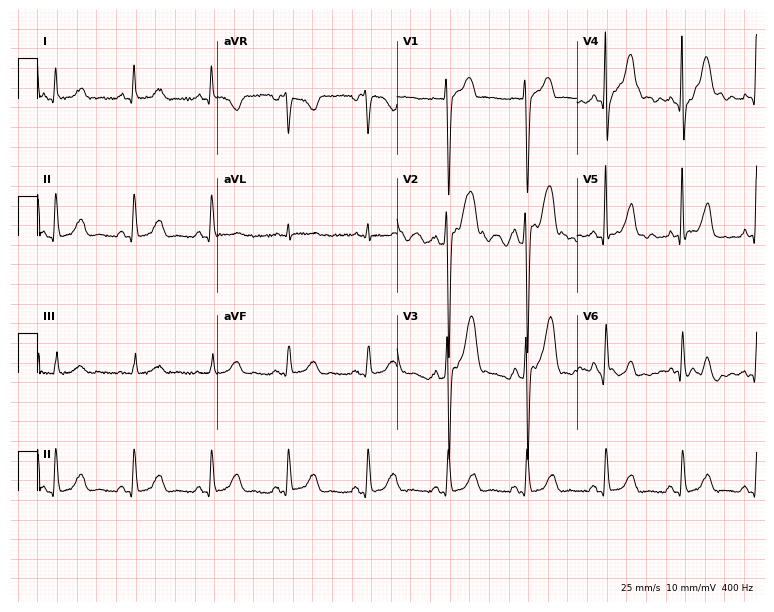
12-lead ECG (7.3-second recording at 400 Hz) from a 61-year-old female. Labelled as a normal ECG.